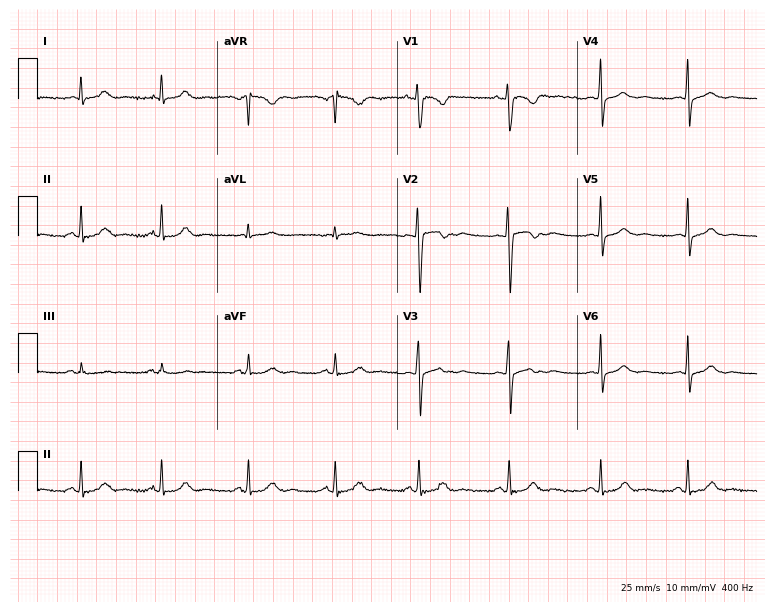
12-lead ECG from a female patient, 25 years old. Screened for six findings — first-degree AV block, right bundle branch block, left bundle branch block, sinus bradycardia, atrial fibrillation, sinus tachycardia — none is recorded.